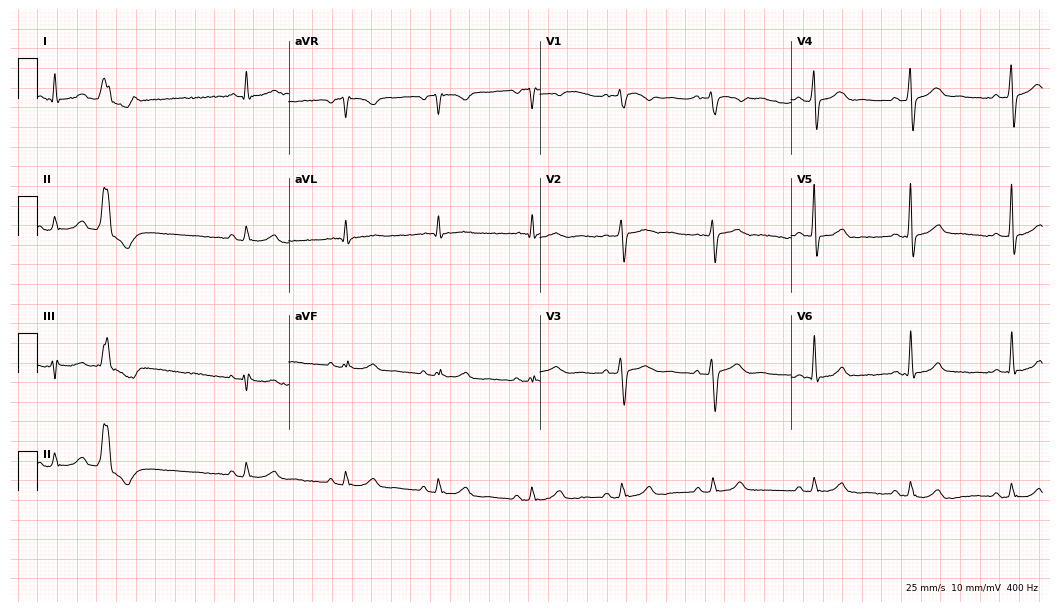
ECG — a woman, 55 years old. Screened for six findings — first-degree AV block, right bundle branch block, left bundle branch block, sinus bradycardia, atrial fibrillation, sinus tachycardia — none is recorded. Other findings, if any, are not listed.